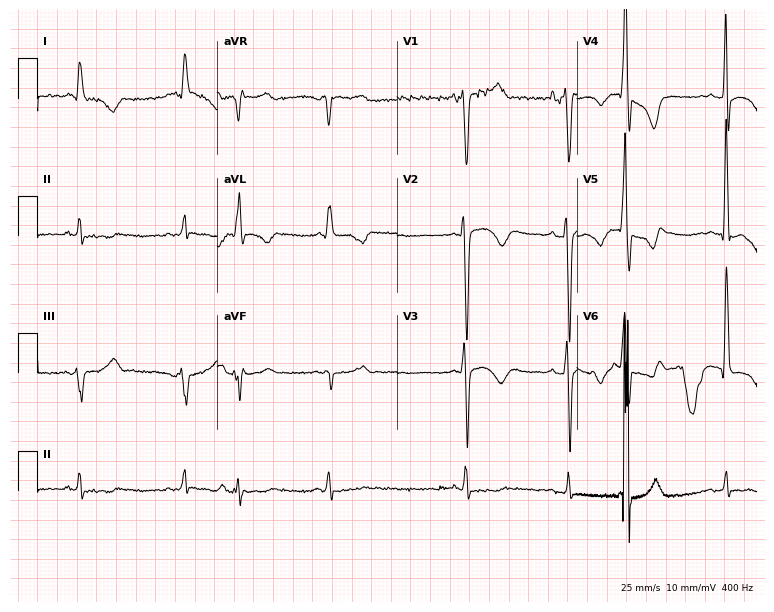
Resting 12-lead electrocardiogram. Patient: a 58-year-old male. Read as a normal ECG.